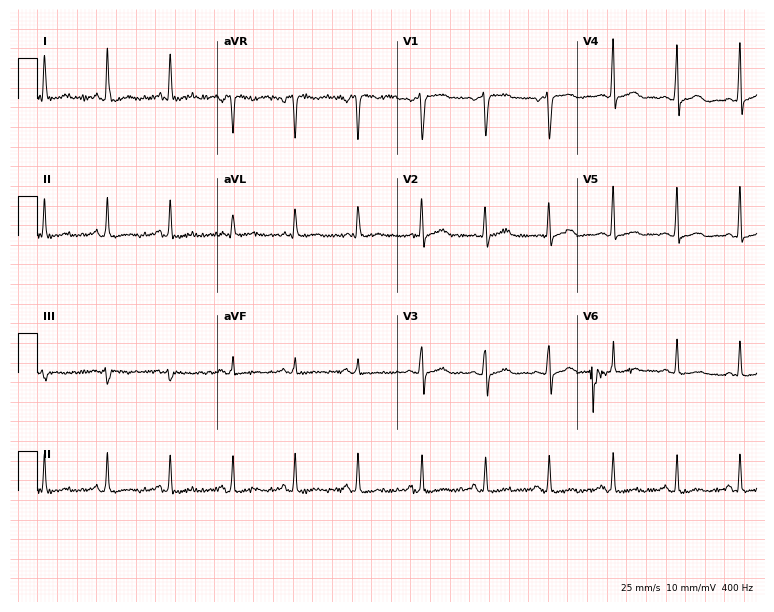
Standard 12-lead ECG recorded from a 55-year-old female (7.3-second recording at 400 Hz). Read as a normal ECG.